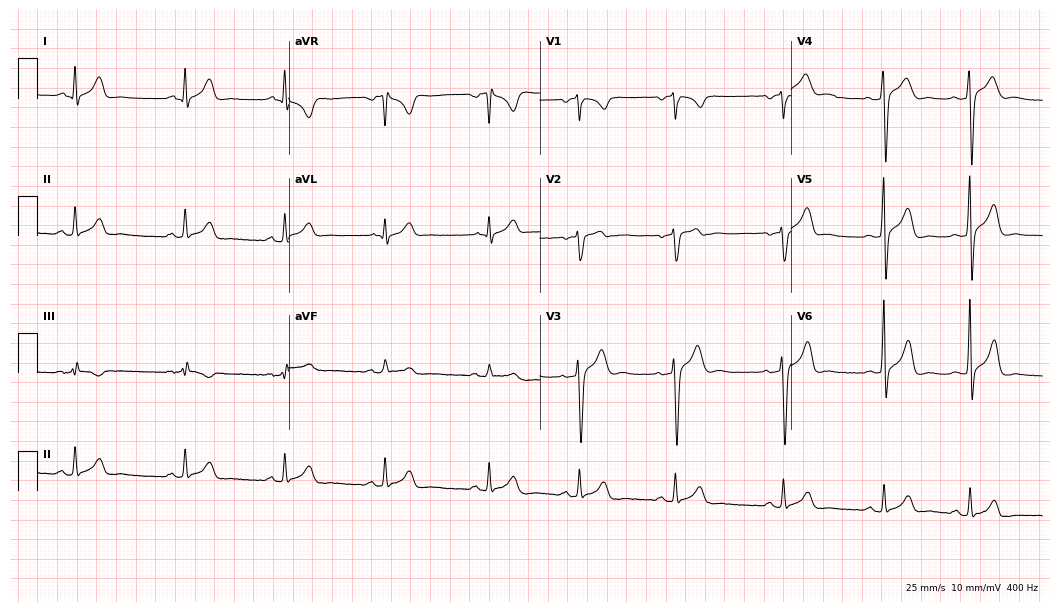
Standard 12-lead ECG recorded from a 26-year-old male patient (10.2-second recording at 400 Hz). Read as a normal ECG.